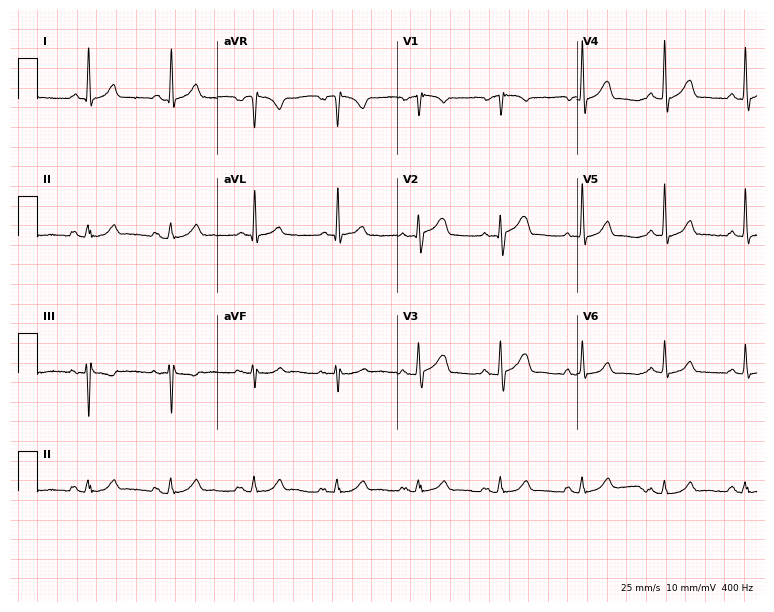
Electrocardiogram, a male patient, 60 years old. Overall reading on record: normal ECG.